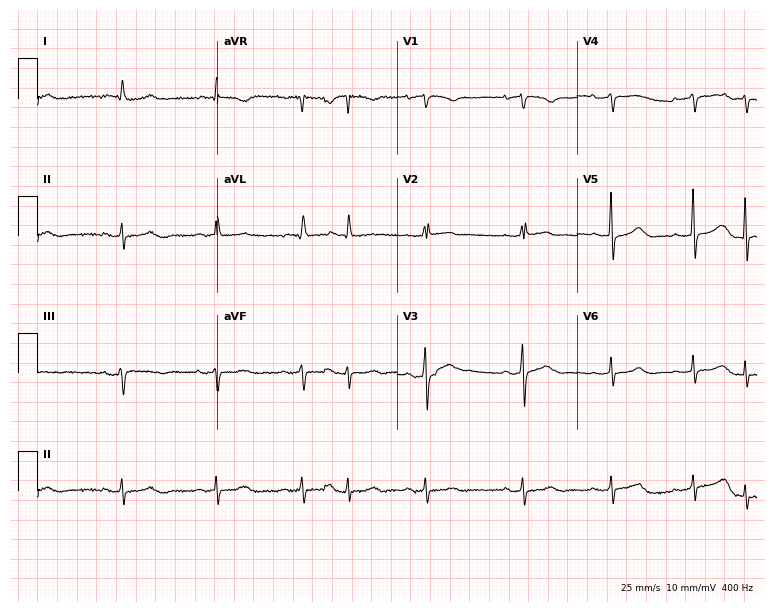
Resting 12-lead electrocardiogram (7.3-second recording at 400 Hz). Patient: a woman, 80 years old. None of these six findings is recorded: first-degree AV block, right bundle branch block, left bundle branch block, sinus bradycardia, atrial fibrillation, sinus tachycardia.